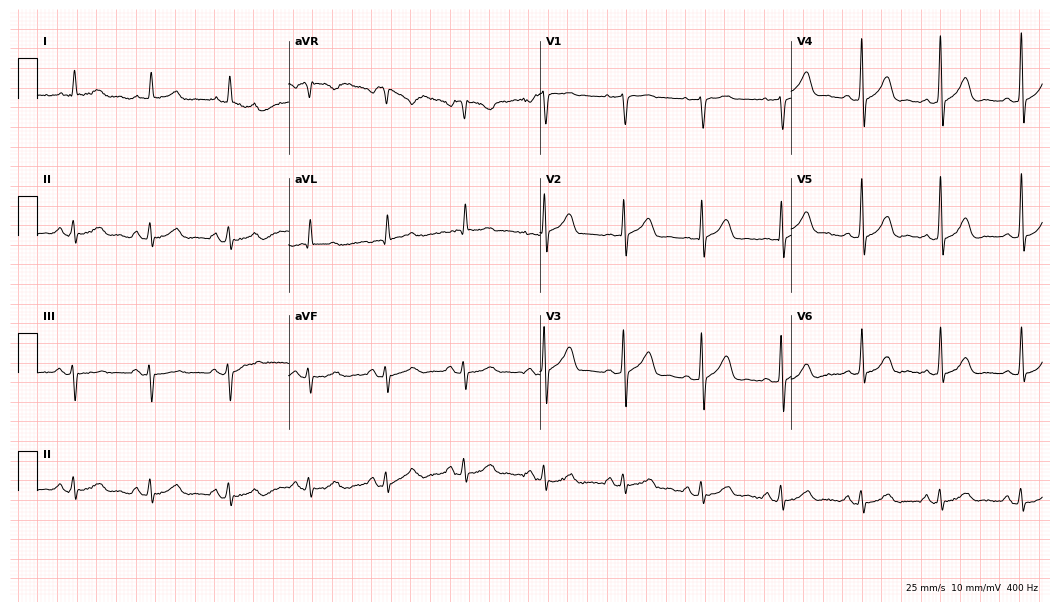
ECG (10.2-second recording at 400 Hz) — a 72-year-old man. Labelled as a normal ECG.